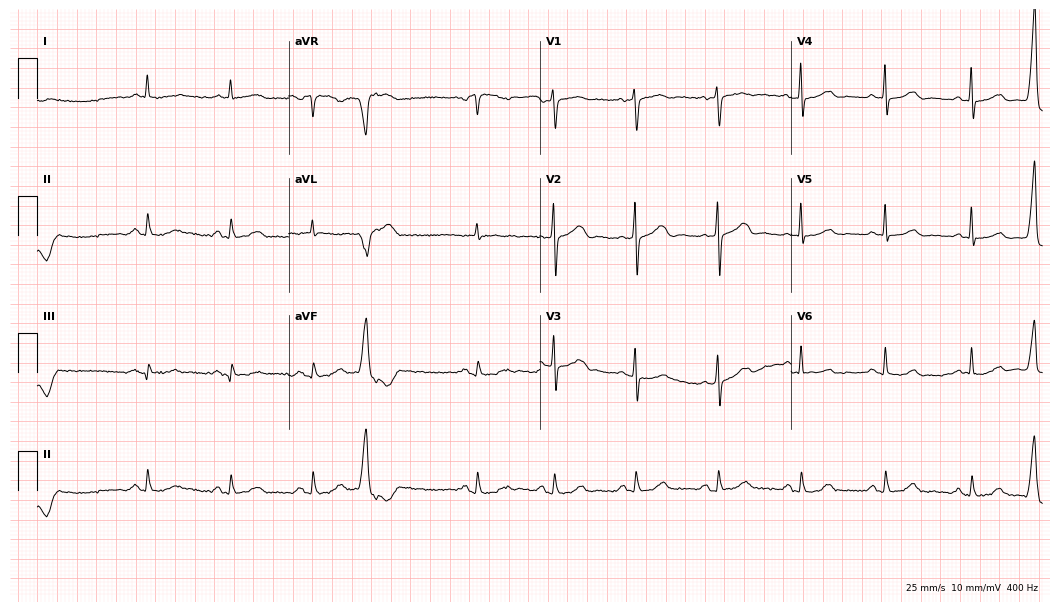
Standard 12-lead ECG recorded from a female patient, 77 years old. None of these six findings is recorded: first-degree AV block, right bundle branch block (RBBB), left bundle branch block (LBBB), sinus bradycardia, atrial fibrillation (AF), sinus tachycardia.